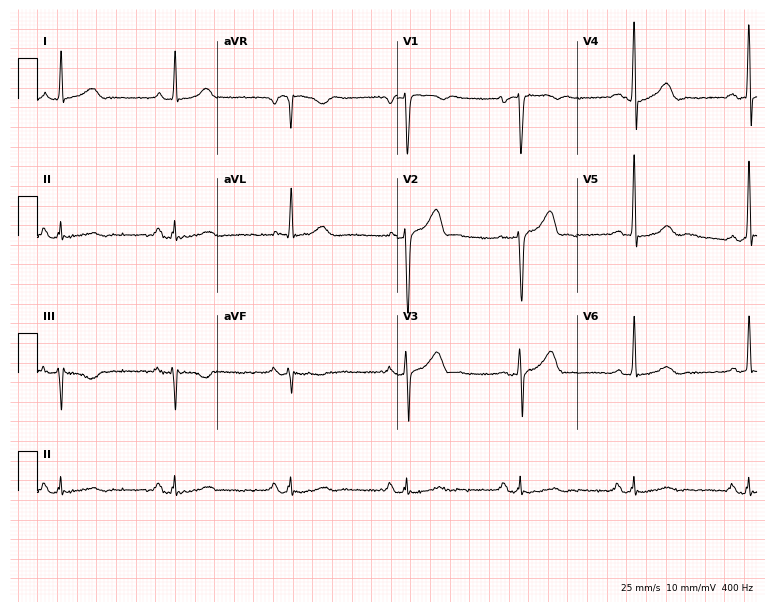
Resting 12-lead electrocardiogram (7.3-second recording at 400 Hz). Patient: a male, 50 years old. None of these six findings is recorded: first-degree AV block, right bundle branch block, left bundle branch block, sinus bradycardia, atrial fibrillation, sinus tachycardia. Only these six findings were labelled.